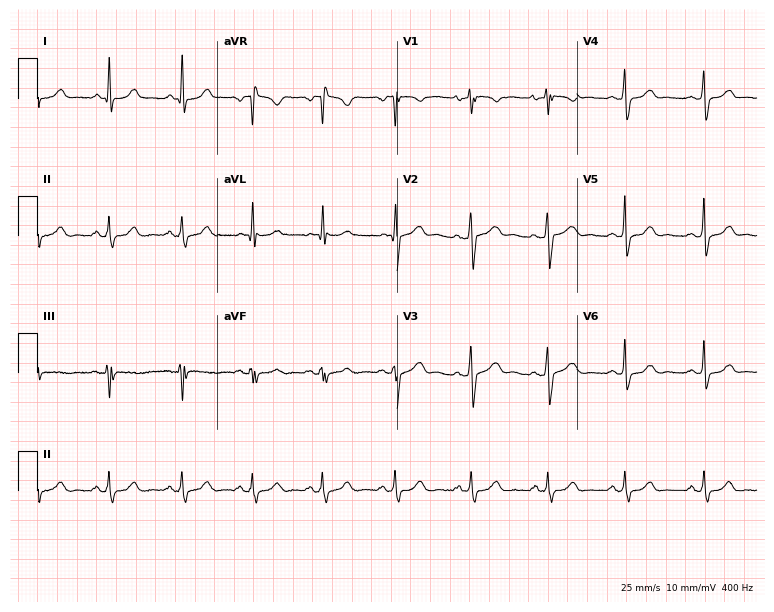
Resting 12-lead electrocardiogram. Patient: a 42-year-old woman. Read as a normal ECG.